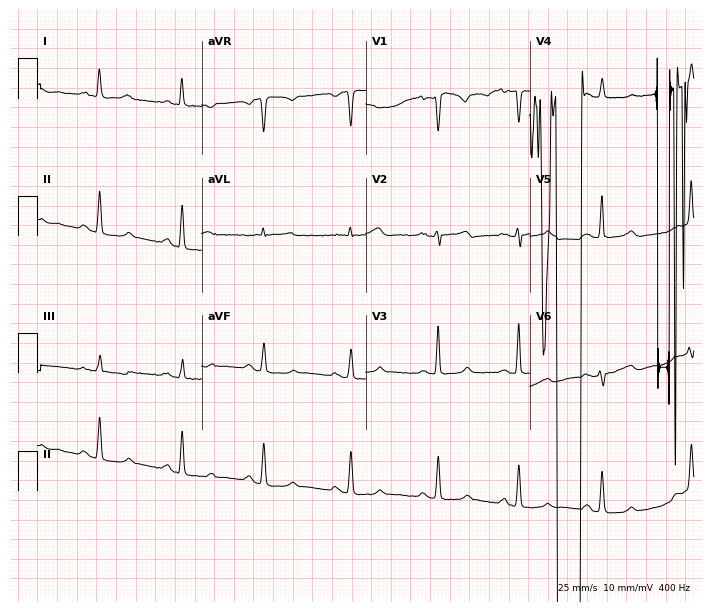
Resting 12-lead electrocardiogram. Patient: a female, 53 years old. None of these six findings is recorded: first-degree AV block, right bundle branch block, left bundle branch block, sinus bradycardia, atrial fibrillation, sinus tachycardia. Only these six findings were labelled.